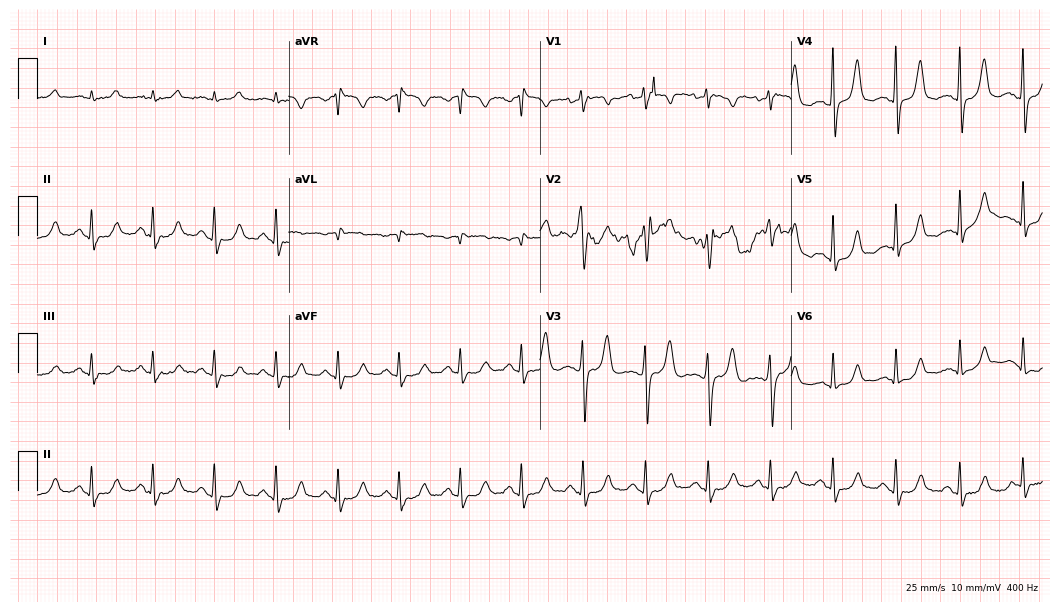
Standard 12-lead ECG recorded from a male patient, 76 years old (10.2-second recording at 400 Hz). Read as a normal ECG.